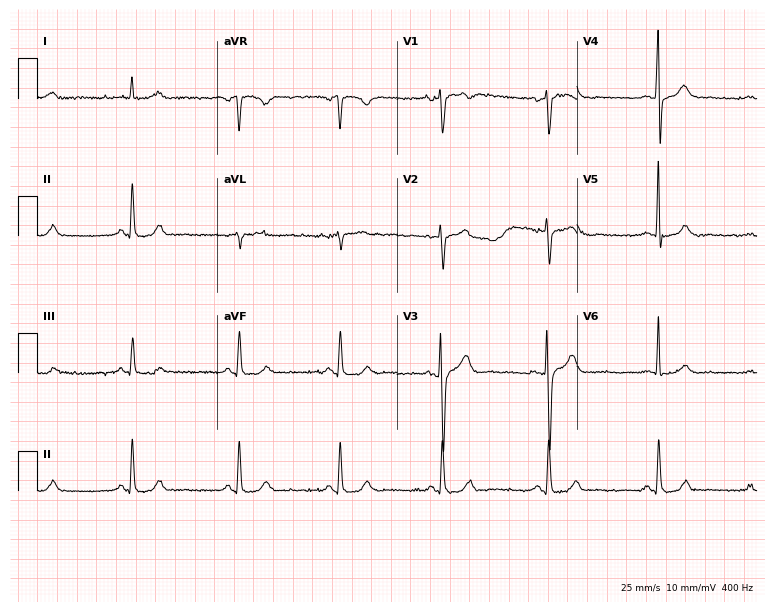
12-lead ECG from a male patient, 56 years old. Labelled as a normal ECG.